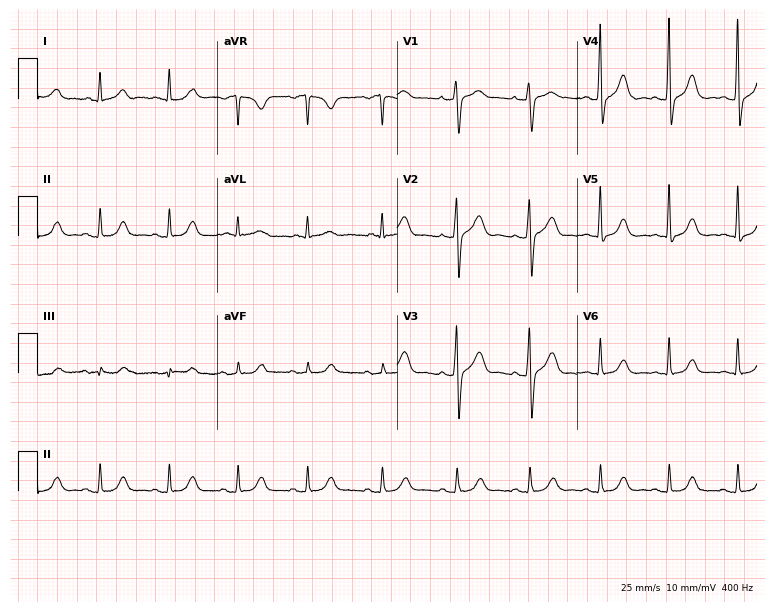
Electrocardiogram, a female, 66 years old. Overall reading on record: normal ECG.